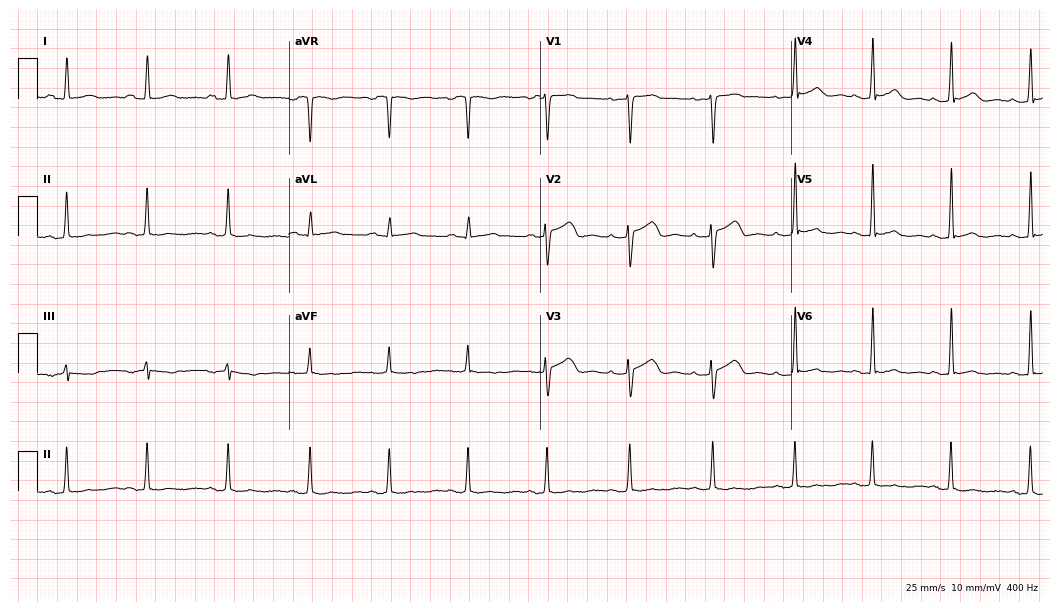
ECG (10.2-second recording at 400 Hz) — a woman, 43 years old. Screened for six findings — first-degree AV block, right bundle branch block, left bundle branch block, sinus bradycardia, atrial fibrillation, sinus tachycardia — none is recorded. Other findings, if any, are not listed.